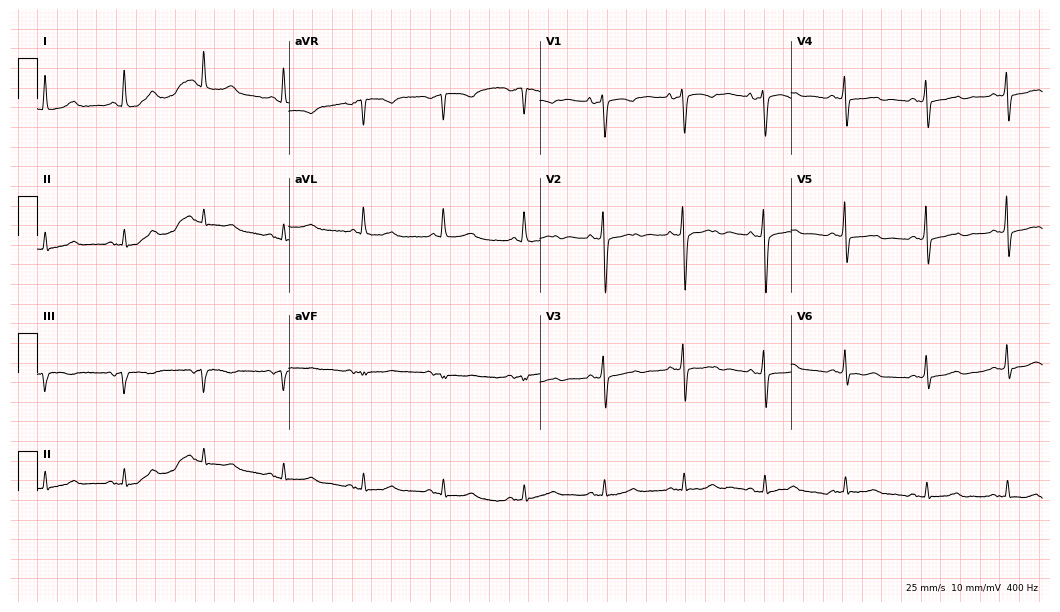
Resting 12-lead electrocardiogram. Patient: a female, 79 years old. None of these six findings is recorded: first-degree AV block, right bundle branch block, left bundle branch block, sinus bradycardia, atrial fibrillation, sinus tachycardia. Only these six findings were labelled.